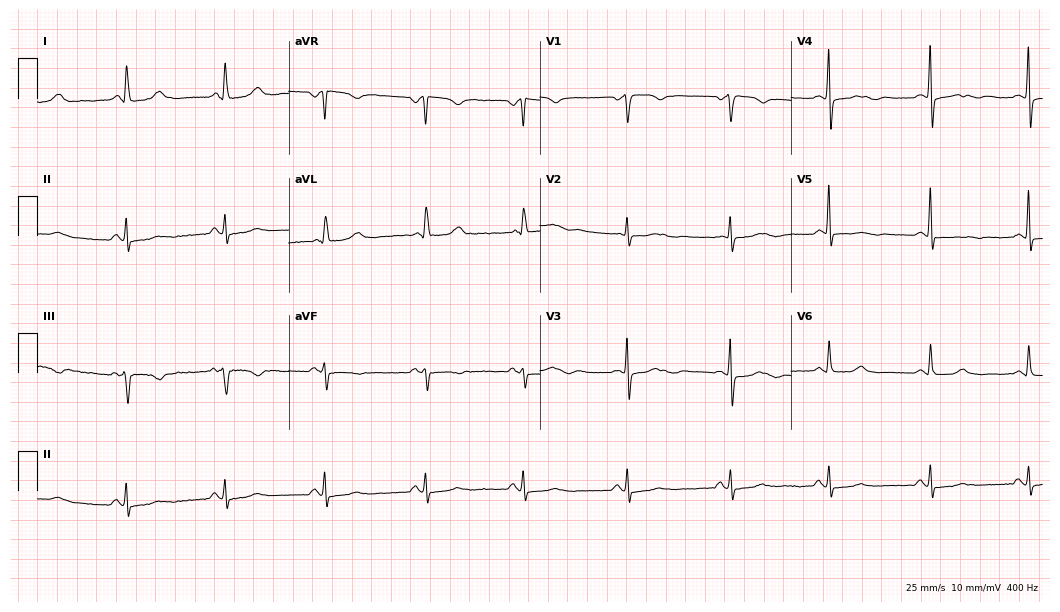
12-lead ECG (10.2-second recording at 400 Hz) from a female patient, 59 years old. Screened for six findings — first-degree AV block, right bundle branch block, left bundle branch block, sinus bradycardia, atrial fibrillation, sinus tachycardia — none is recorded. Only these six findings were labelled.